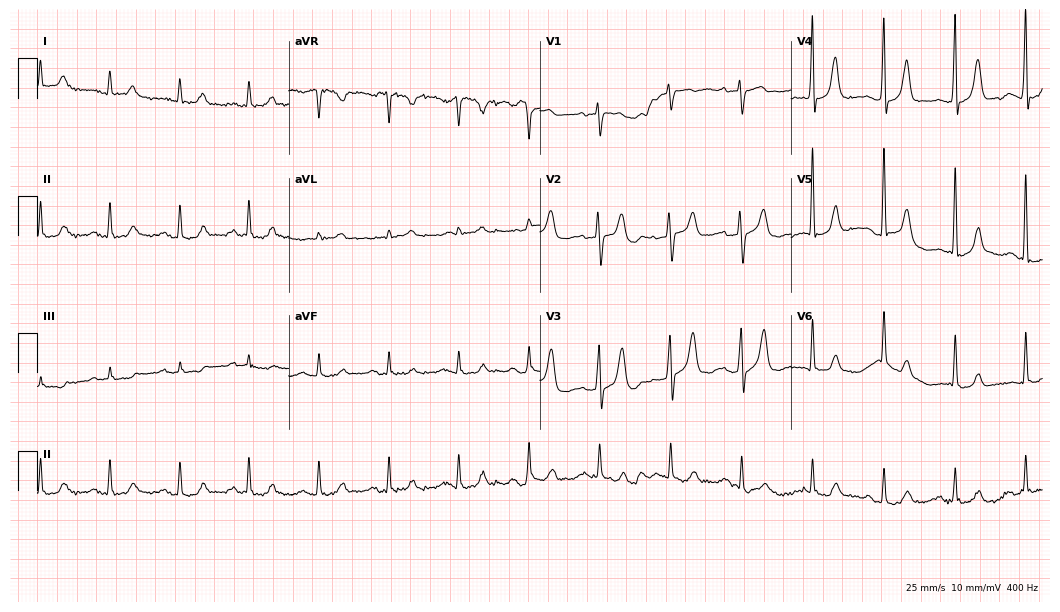
Electrocardiogram (10.2-second recording at 400 Hz), a 78-year-old female patient. Of the six screened findings (first-degree AV block, right bundle branch block, left bundle branch block, sinus bradycardia, atrial fibrillation, sinus tachycardia), none is recorded. Findings outside these six are not listed.